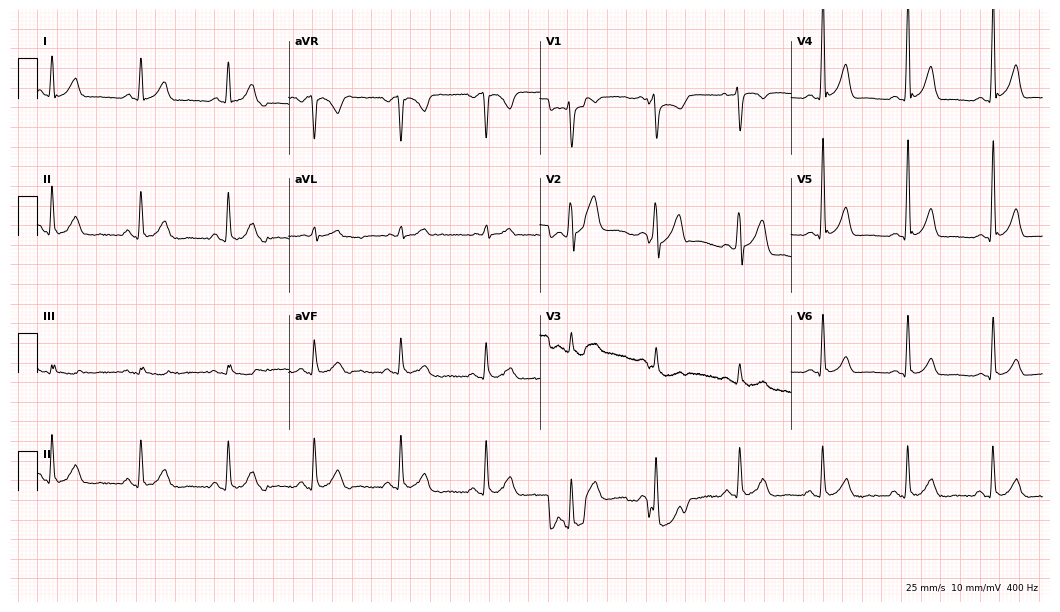
12-lead ECG from a male patient, 43 years old. Screened for six findings — first-degree AV block, right bundle branch block (RBBB), left bundle branch block (LBBB), sinus bradycardia, atrial fibrillation (AF), sinus tachycardia — none is recorded.